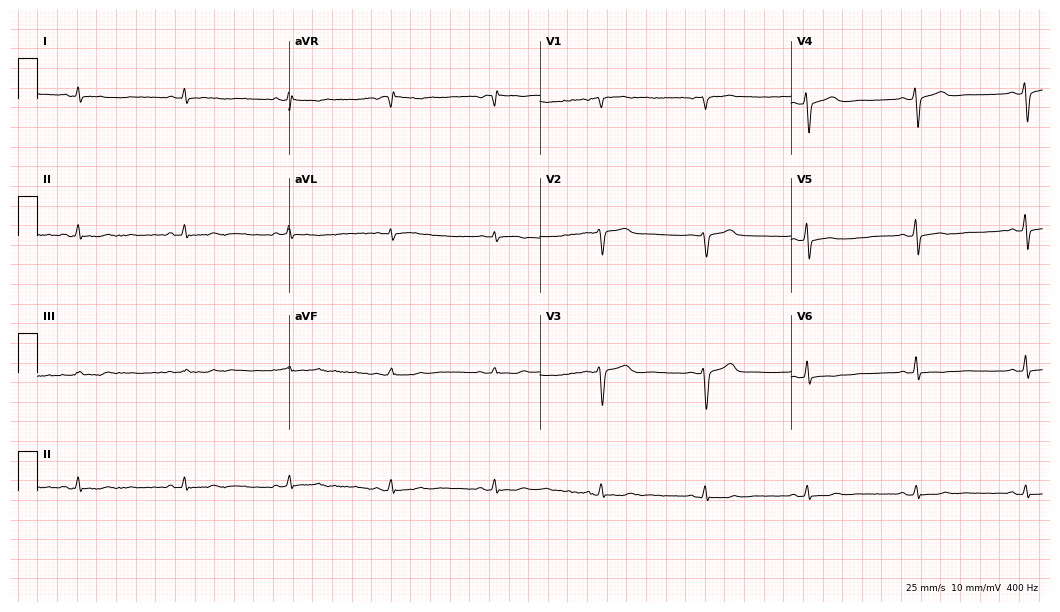
Resting 12-lead electrocardiogram. Patient: a 41-year-old woman. None of these six findings is recorded: first-degree AV block, right bundle branch block, left bundle branch block, sinus bradycardia, atrial fibrillation, sinus tachycardia. Findings outside these six are not listed.